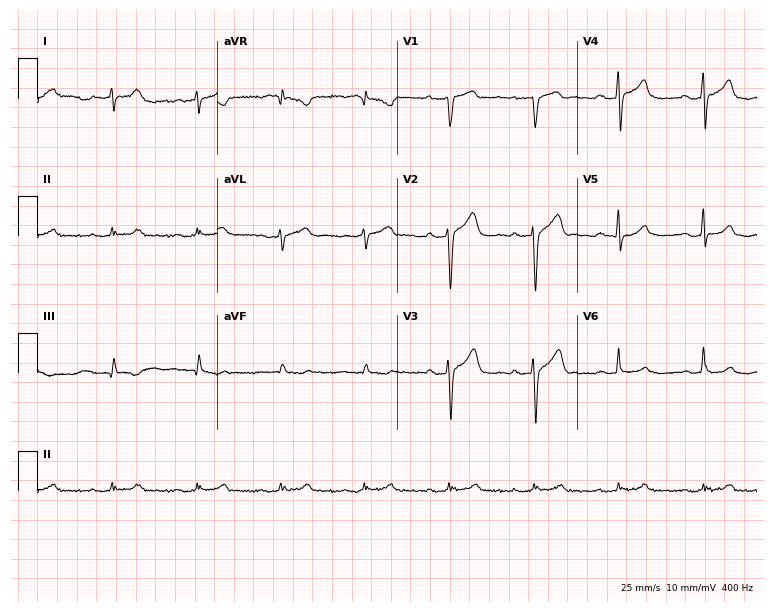
12-lead ECG (7.3-second recording at 400 Hz) from a 59-year-old male patient. Findings include first-degree AV block.